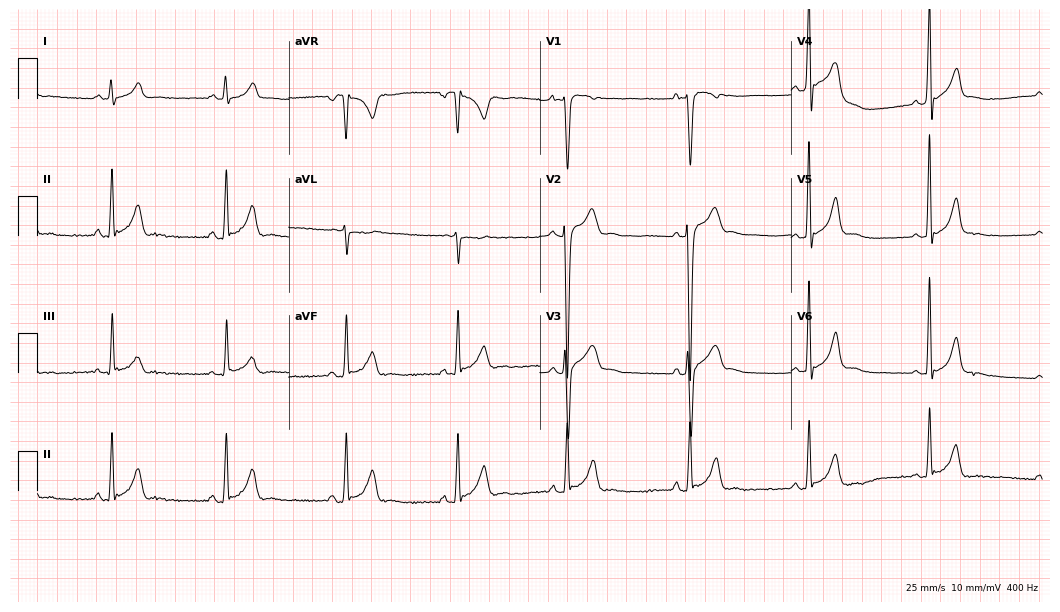
ECG — a 17-year-old male patient. Labelled as a normal ECG.